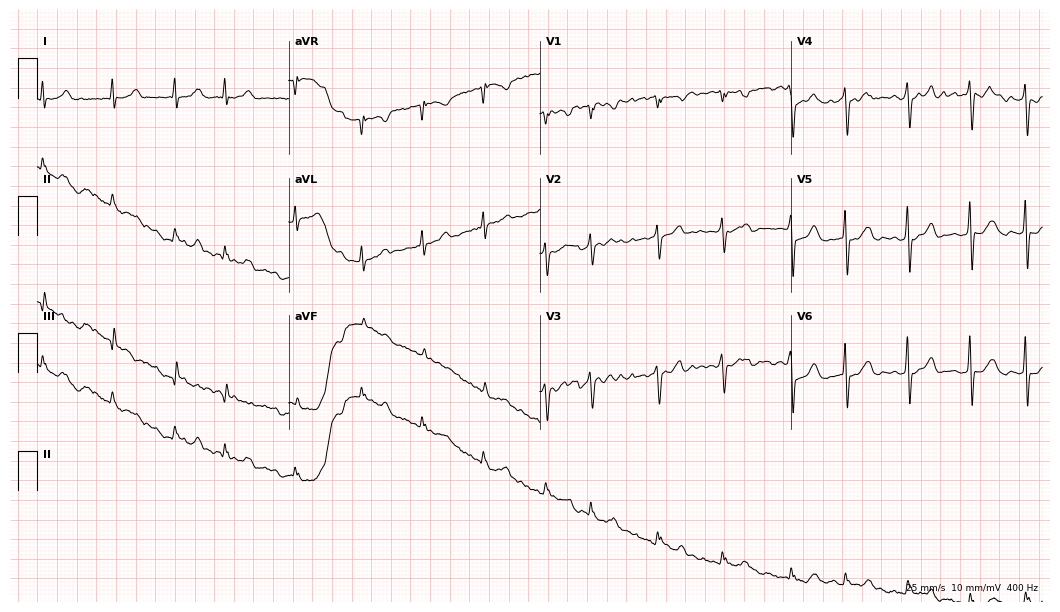
Standard 12-lead ECG recorded from a female patient, 70 years old (10.2-second recording at 400 Hz). None of these six findings is recorded: first-degree AV block, right bundle branch block, left bundle branch block, sinus bradycardia, atrial fibrillation, sinus tachycardia. Findings outside these six are not listed.